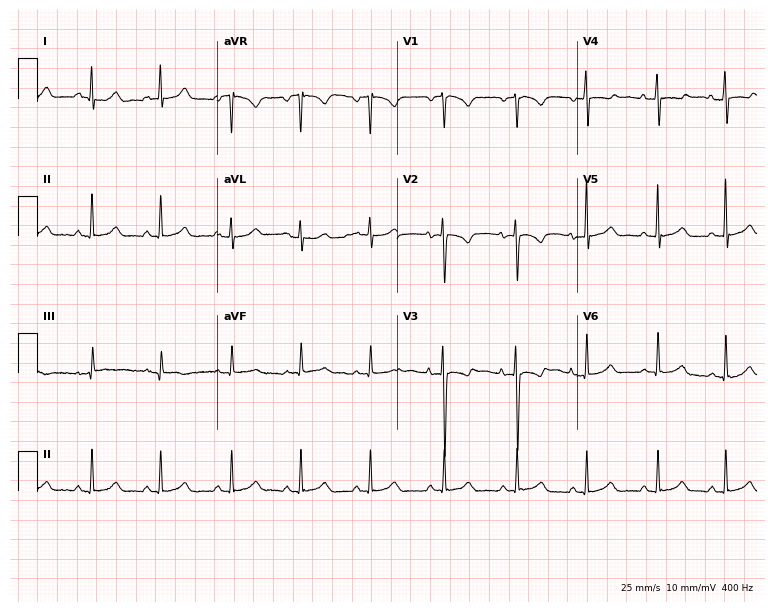
Electrocardiogram, a 19-year-old woman. Overall reading on record: normal ECG.